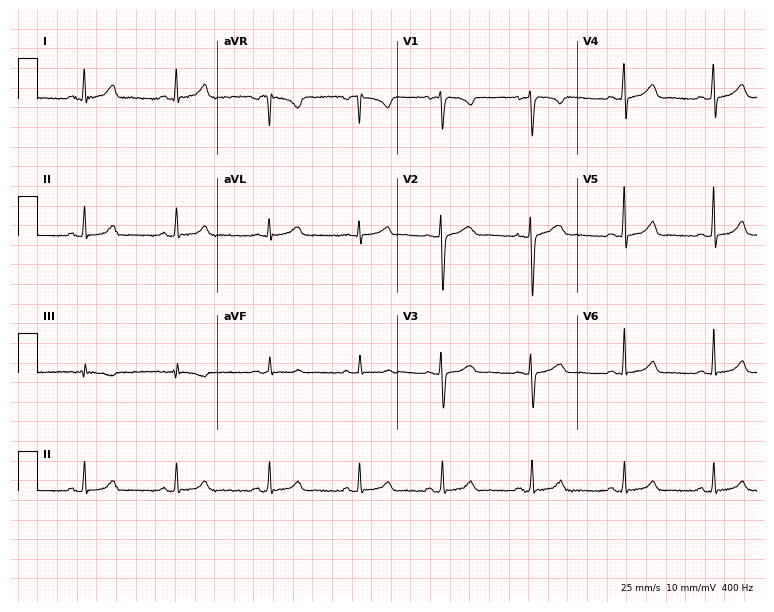
12-lead ECG from a woman, 32 years old. No first-degree AV block, right bundle branch block (RBBB), left bundle branch block (LBBB), sinus bradycardia, atrial fibrillation (AF) or sinus tachycardia recorded for this tracing. Findings outside these six are not listed.